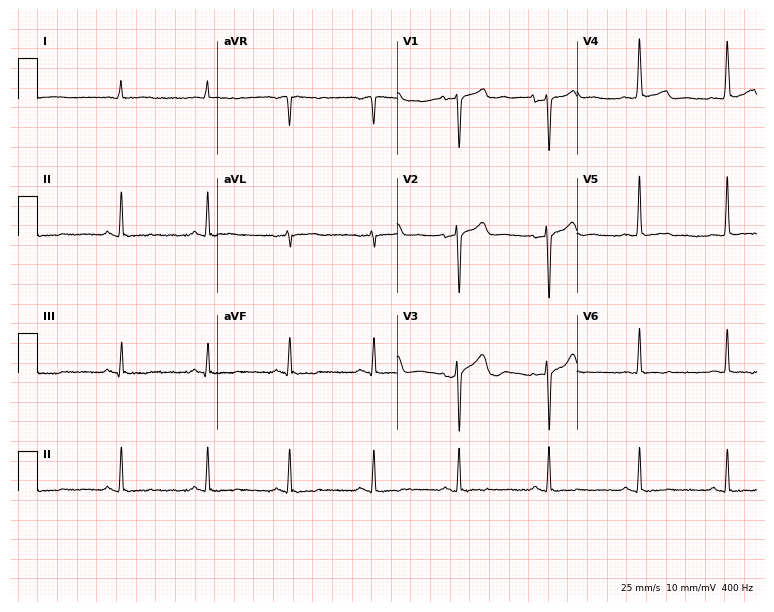
12-lead ECG from a male patient, 39 years old. No first-degree AV block, right bundle branch block, left bundle branch block, sinus bradycardia, atrial fibrillation or sinus tachycardia recorded for this tracing.